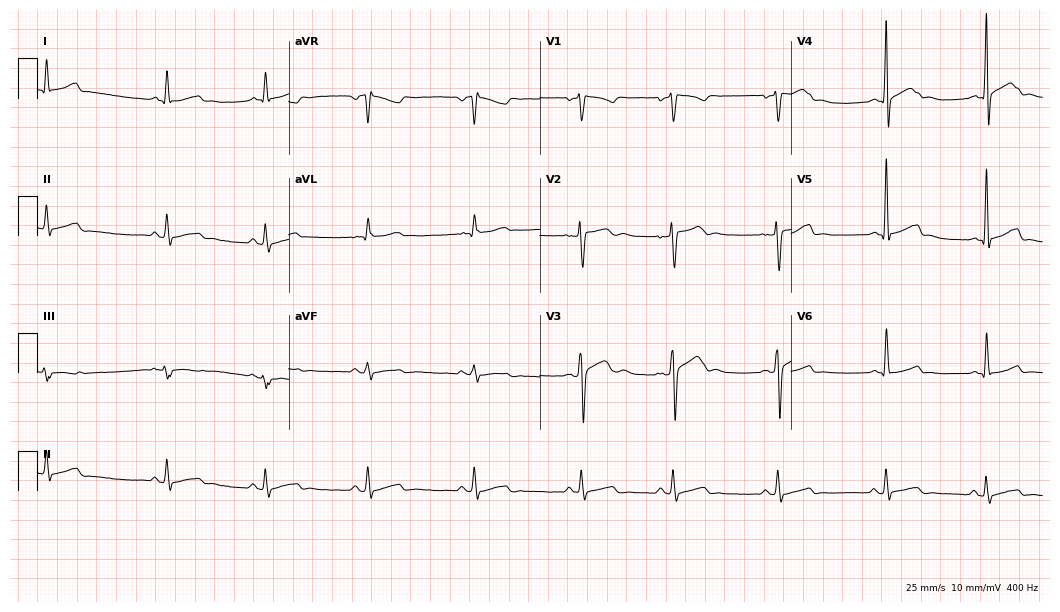
Standard 12-lead ECG recorded from a male, 23 years old (10.2-second recording at 400 Hz). Read as a normal ECG.